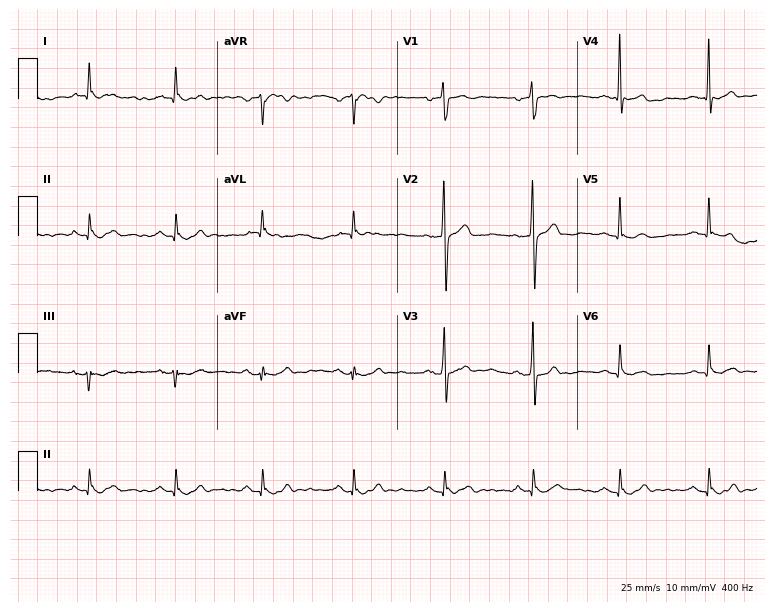
Electrocardiogram (7.3-second recording at 400 Hz), a male, 79 years old. Of the six screened findings (first-degree AV block, right bundle branch block, left bundle branch block, sinus bradycardia, atrial fibrillation, sinus tachycardia), none is recorded. Only these six findings were labelled.